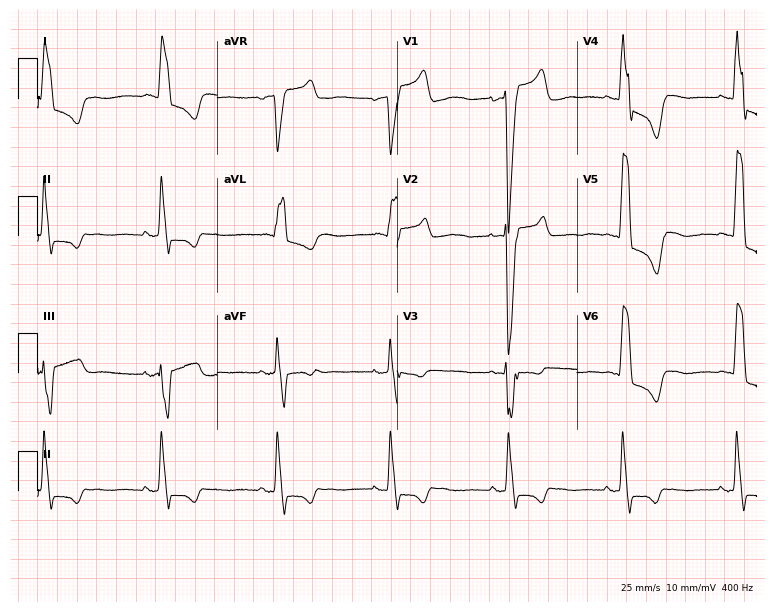
Electrocardiogram, a 78-year-old female. Interpretation includes left bundle branch block (LBBB).